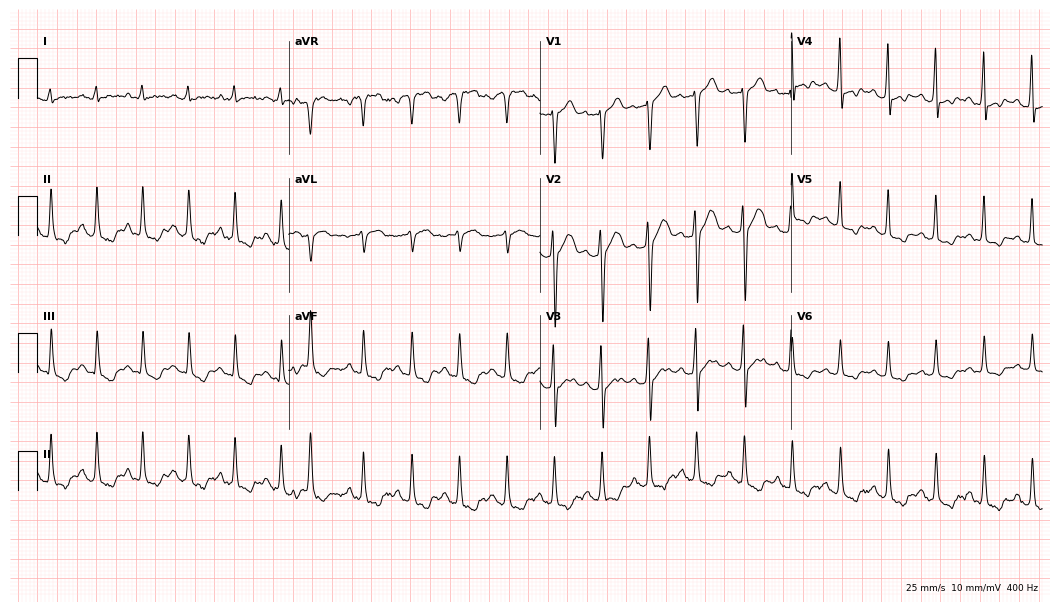
Resting 12-lead electrocardiogram. Patient: a man, 56 years old. The tracing shows sinus tachycardia (a sinus rate of 100 beats per minute or more).